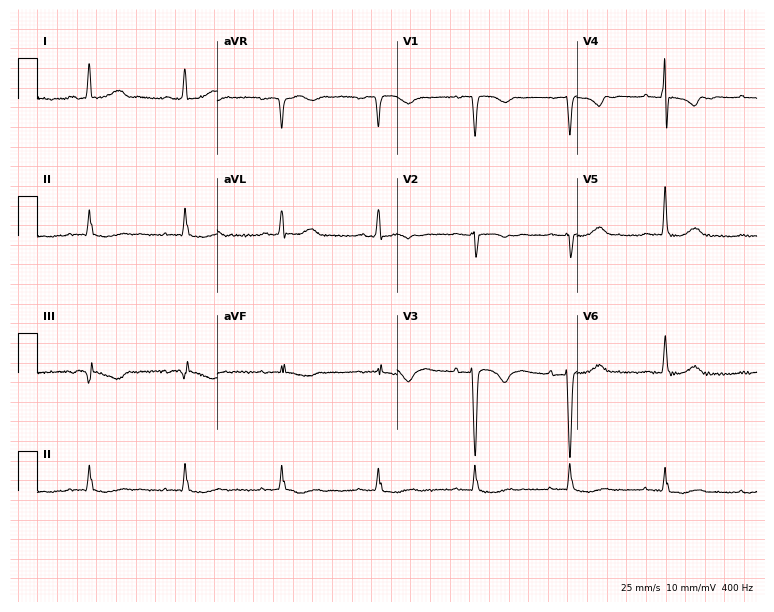
ECG (7.3-second recording at 400 Hz) — a female, 76 years old. Screened for six findings — first-degree AV block, right bundle branch block, left bundle branch block, sinus bradycardia, atrial fibrillation, sinus tachycardia — none is recorded.